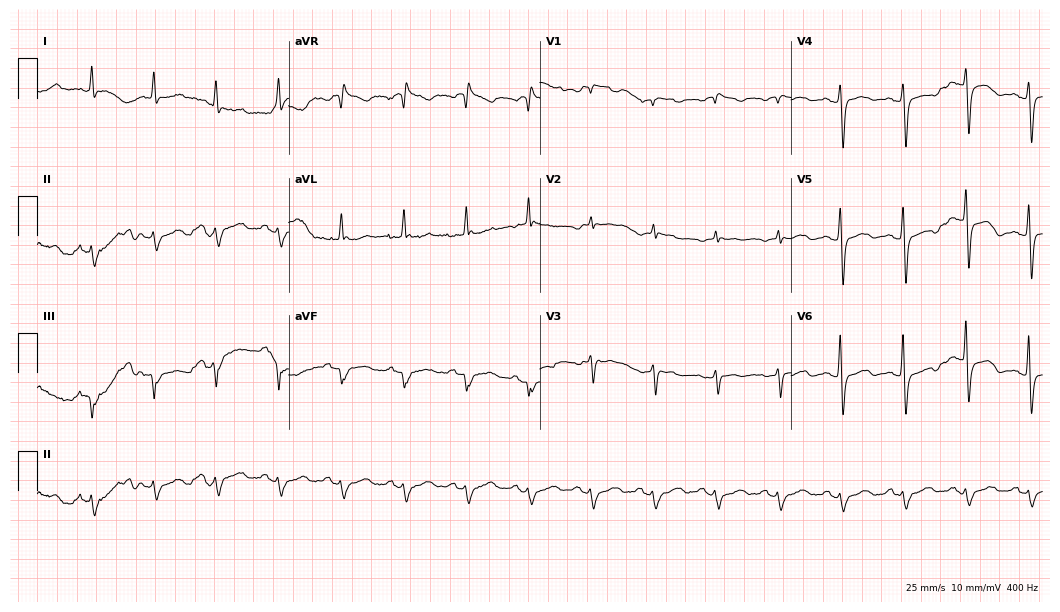
Electrocardiogram, a woman, 84 years old. Of the six screened findings (first-degree AV block, right bundle branch block, left bundle branch block, sinus bradycardia, atrial fibrillation, sinus tachycardia), none is recorded. Other findings, if any, are not listed.